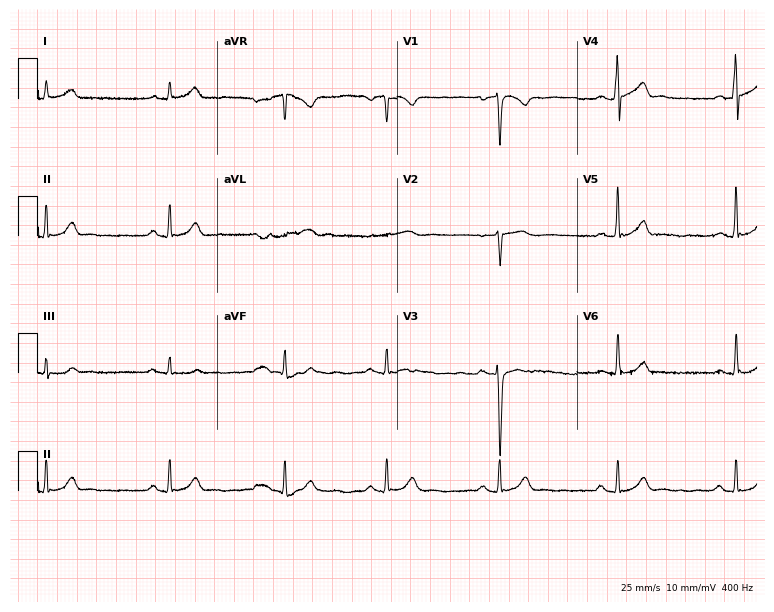
Resting 12-lead electrocardiogram (7.3-second recording at 400 Hz). Patient: a 23-year-old male. Read as a normal ECG.